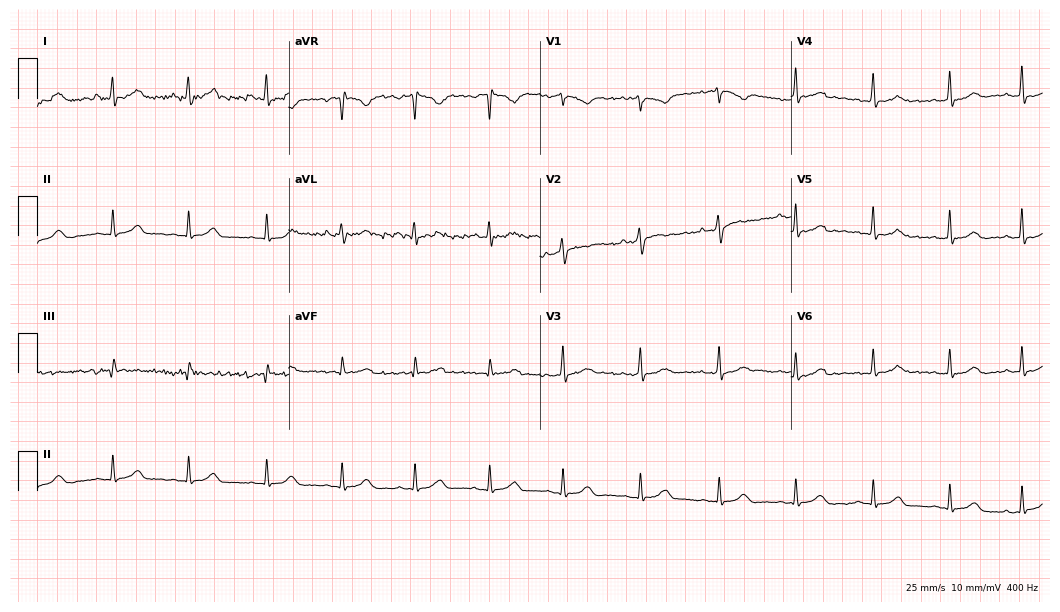
12-lead ECG from a female patient, 30 years old. Recorded interpretation: within normal limits.